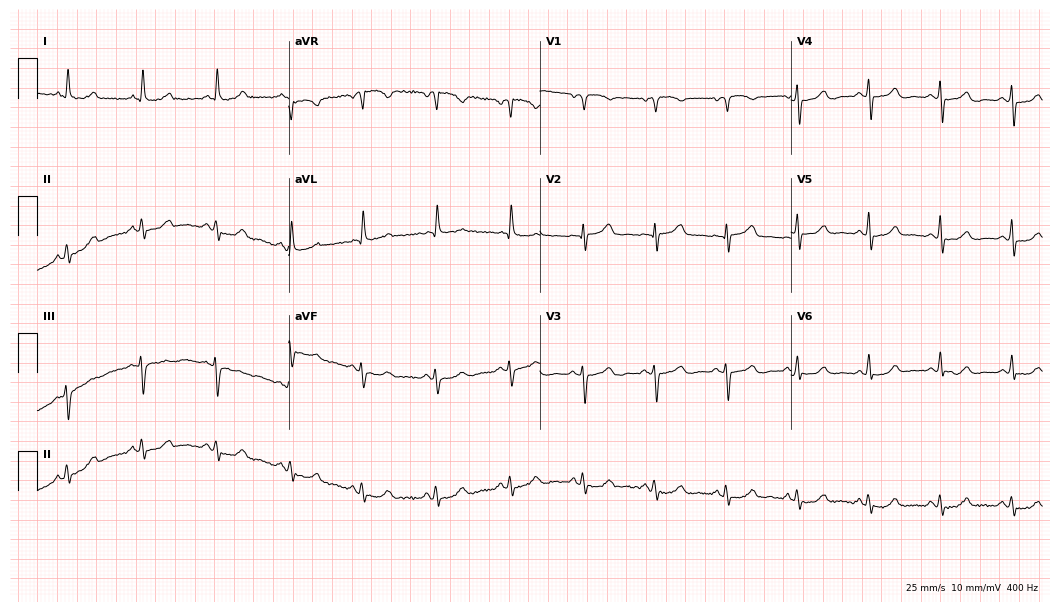
12-lead ECG from a woman, 74 years old (10.2-second recording at 400 Hz). Recorded interpretation: within normal limits.